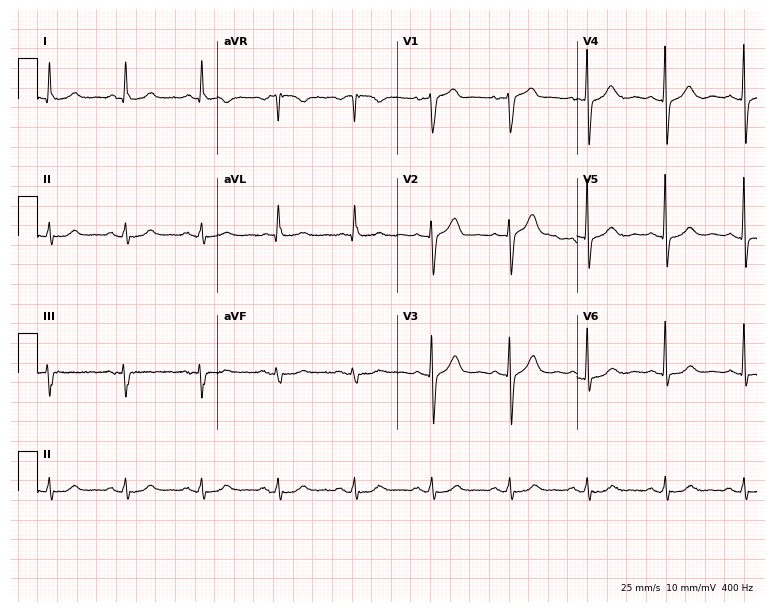
12-lead ECG from a 75-year-old male. Labelled as a normal ECG.